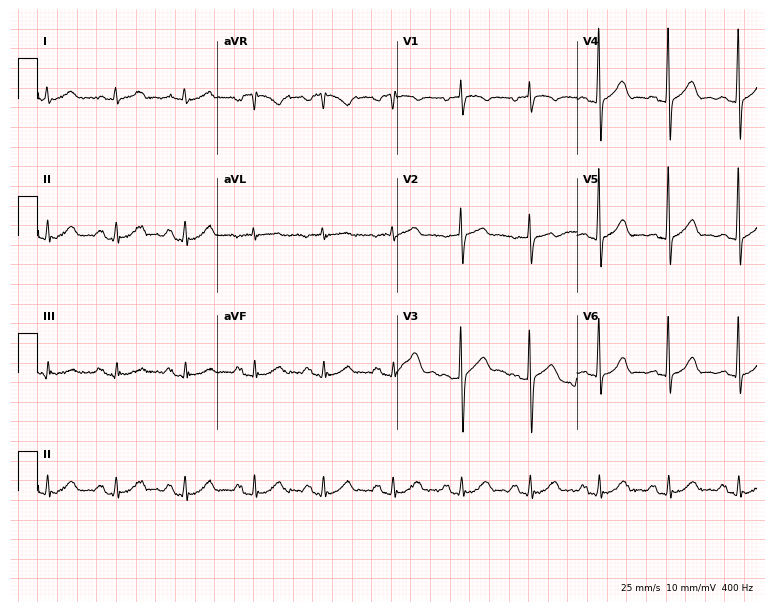
Standard 12-lead ECG recorded from a 71-year-old male. Read as a normal ECG.